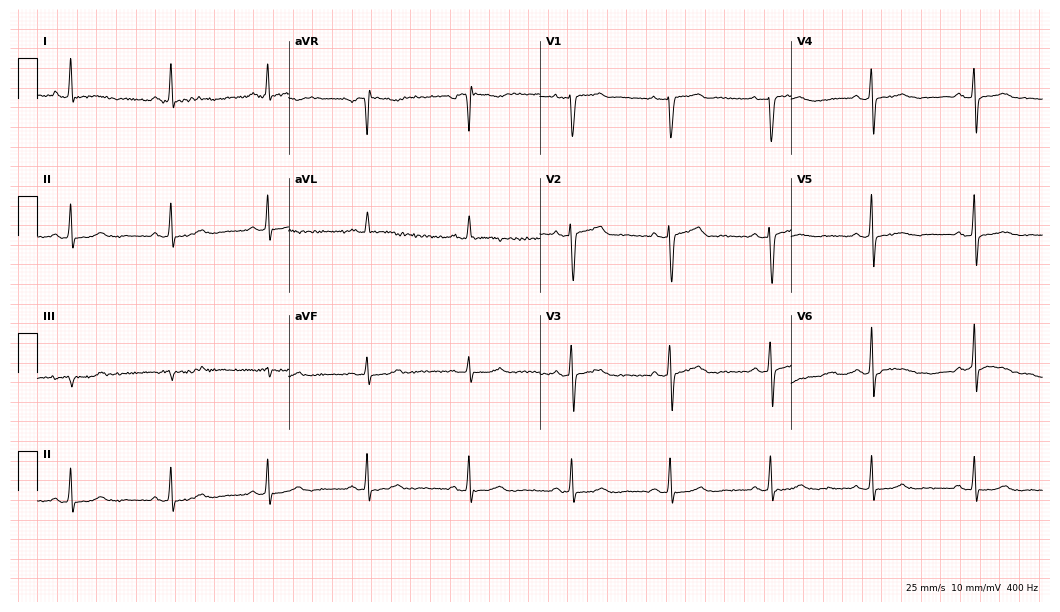
12-lead ECG (10.2-second recording at 400 Hz) from a 54-year-old female. Screened for six findings — first-degree AV block, right bundle branch block, left bundle branch block, sinus bradycardia, atrial fibrillation, sinus tachycardia — none is recorded.